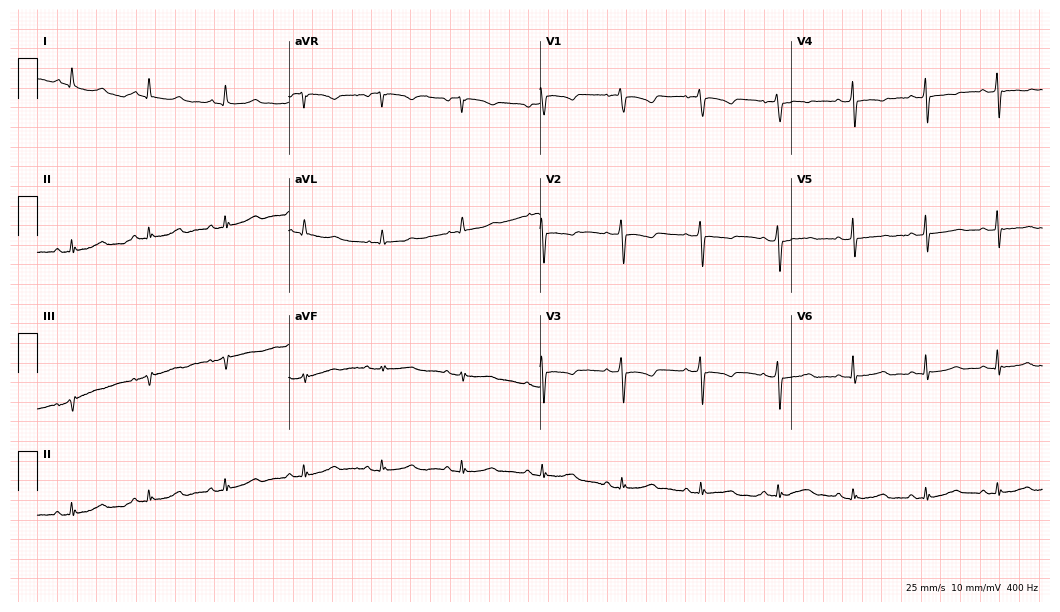
Standard 12-lead ECG recorded from a 67-year-old woman (10.2-second recording at 400 Hz). None of these six findings is recorded: first-degree AV block, right bundle branch block, left bundle branch block, sinus bradycardia, atrial fibrillation, sinus tachycardia. Other findings, if any, are not listed.